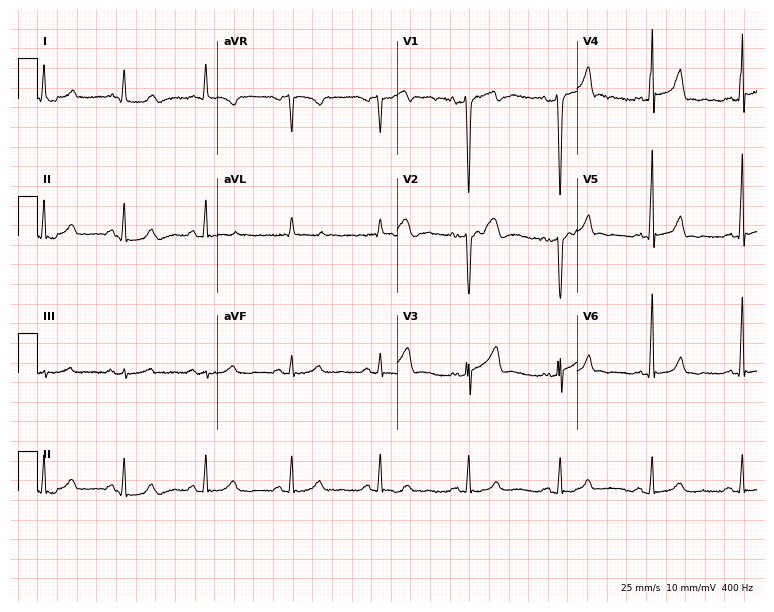
Electrocardiogram, a male patient, 51 years old. Of the six screened findings (first-degree AV block, right bundle branch block (RBBB), left bundle branch block (LBBB), sinus bradycardia, atrial fibrillation (AF), sinus tachycardia), none is recorded. Only these six findings were labelled.